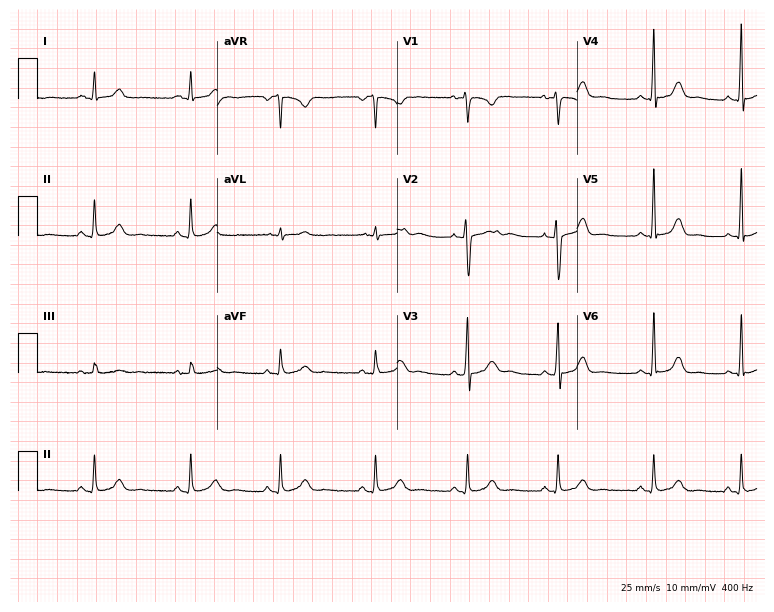
Standard 12-lead ECG recorded from a female patient, 30 years old (7.3-second recording at 400 Hz). Read as a normal ECG.